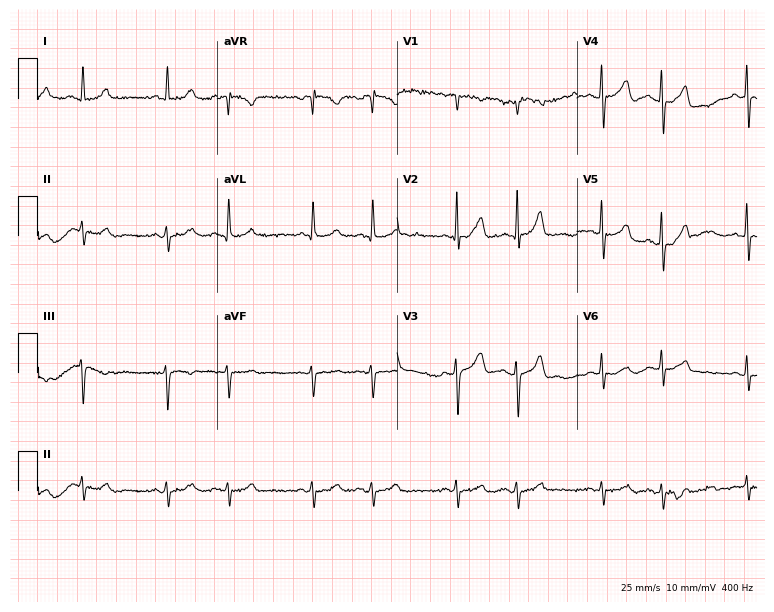
Standard 12-lead ECG recorded from a male, 70 years old (7.3-second recording at 400 Hz). None of these six findings is recorded: first-degree AV block, right bundle branch block (RBBB), left bundle branch block (LBBB), sinus bradycardia, atrial fibrillation (AF), sinus tachycardia. Other findings, if any, are not listed.